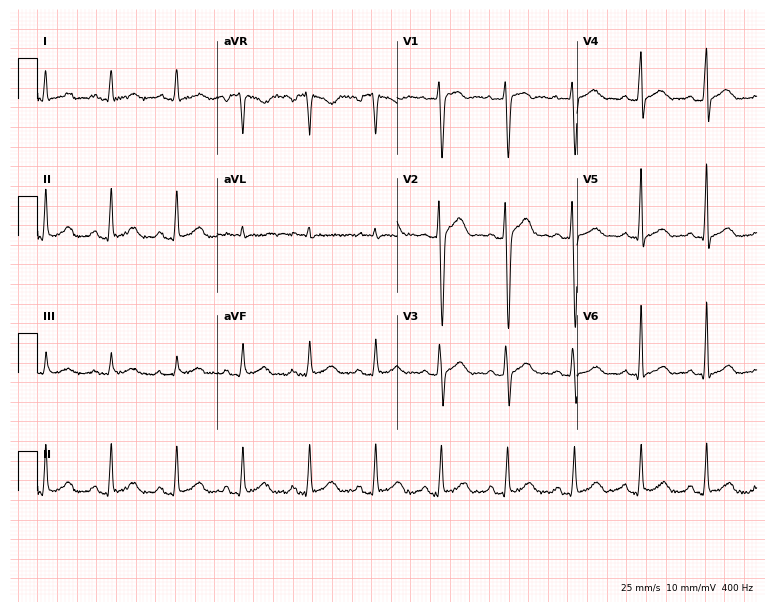
12-lead ECG from a 26-year-old male. No first-degree AV block, right bundle branch block, left bundle branch block, sinus bradycardia, atrial fibrillation or sinus tachycardia recorded for this tracing. Other findings, if any, are not listed.